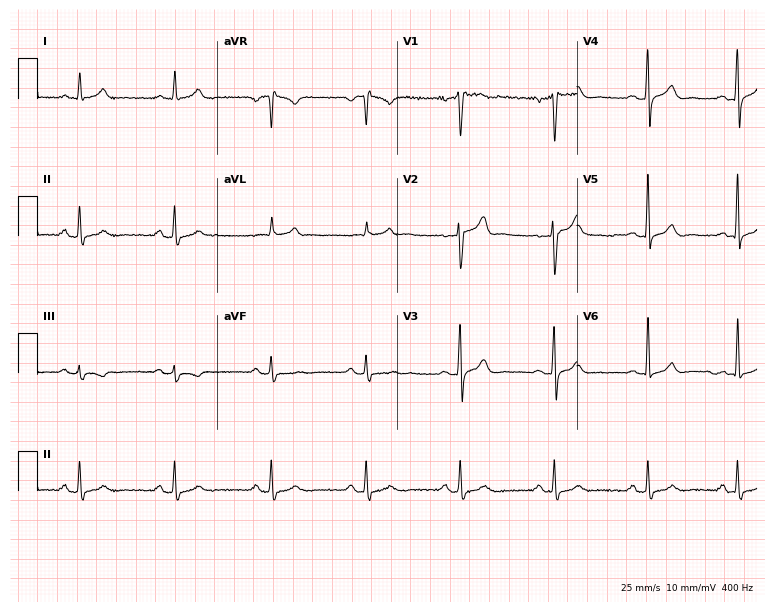
12-lead ECG from a woman, 39 years old. Labelled as a normal ECG.